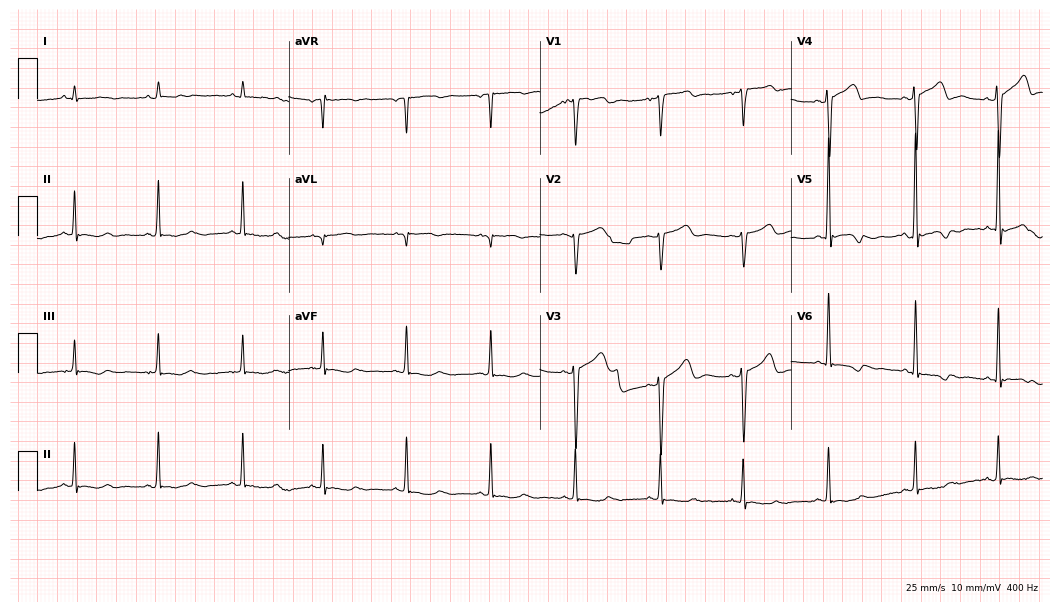
Resting 12-lead electrocardiogram. Patient: a 76-year-old female. None of these six findings is recorded: first-degree AV block, right bundle branch block, left bundle branch block, sinus bradycardia, atrial fibrillation, sinus tachycardia.